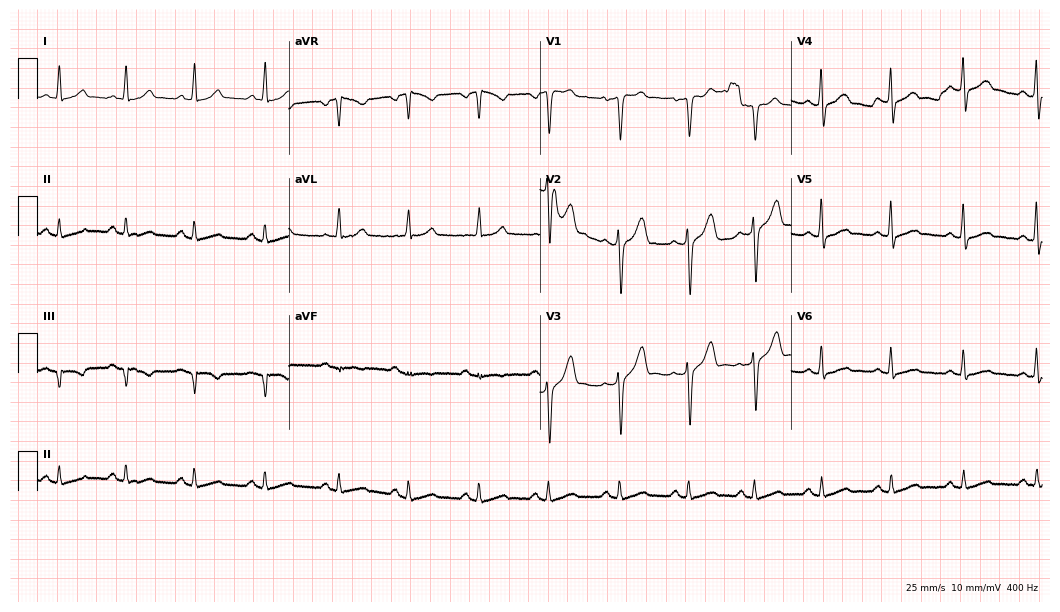
12-lead ECG from a male, 32 years old. Labelled as a normal ECG.